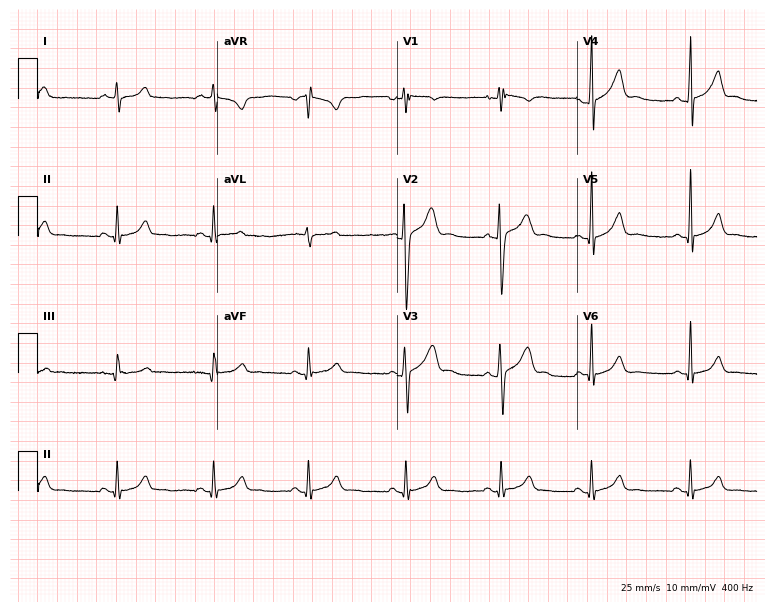
Resting 12-lead electrocardiogram (7.3-second recording at 400 Hz). Patient: a male, 19 years old. Read as a normal ECG.